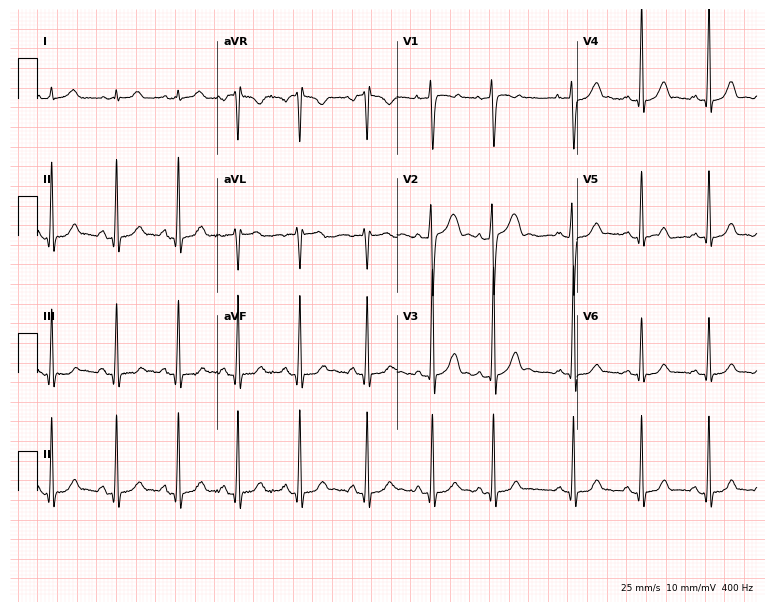
ECG — a 21-year-old female patient. Labelled as a normal ECG.